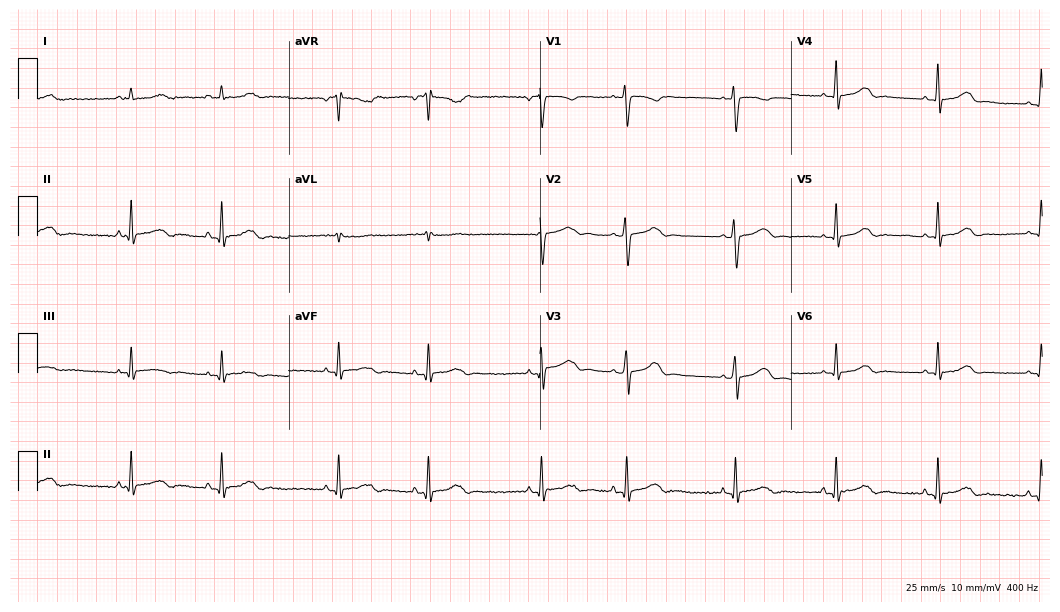
ECG (10.2-second recording at 400 Hz) — a 26-year-old female patient. Screened for six findings — first-degree AV block, right bundle branch block, left bundle branch block, sinus bradycardia, atrial fibrillation, sinus tachycardia — none is recorded. Other findings, if any, are not listed.